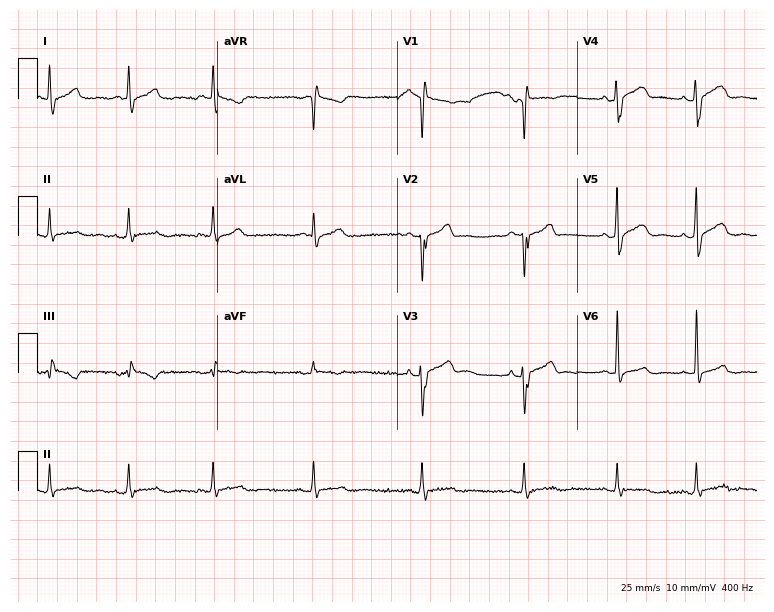
Electrocardiogram (7.3-second recording at 400 Hz), a male, 21 years old. Of the six screened findings (first-degree AV block, right bundle branch block, left bundle branch block, sinus bradycardia, atrial fibrillation, sinus tachycardia), none is recorded. Other findings, if any, are not listed.